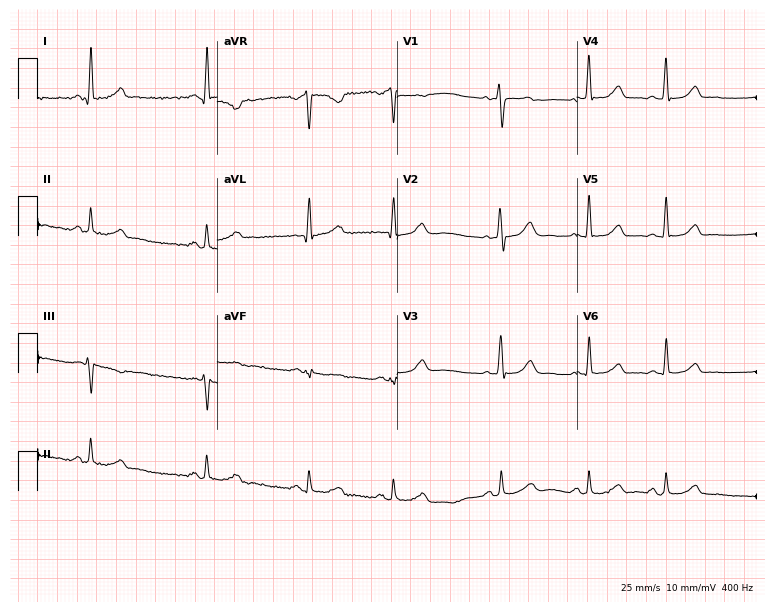
12-lead ECG from a female patient, 31 years old. Screened for six findings — first-degree AV block, right bundle branch block, left bundle branch block, sinus bradycardia, atrial fibrillation, sinus tachycardia — none is recorded. Only these six findings were labelled.